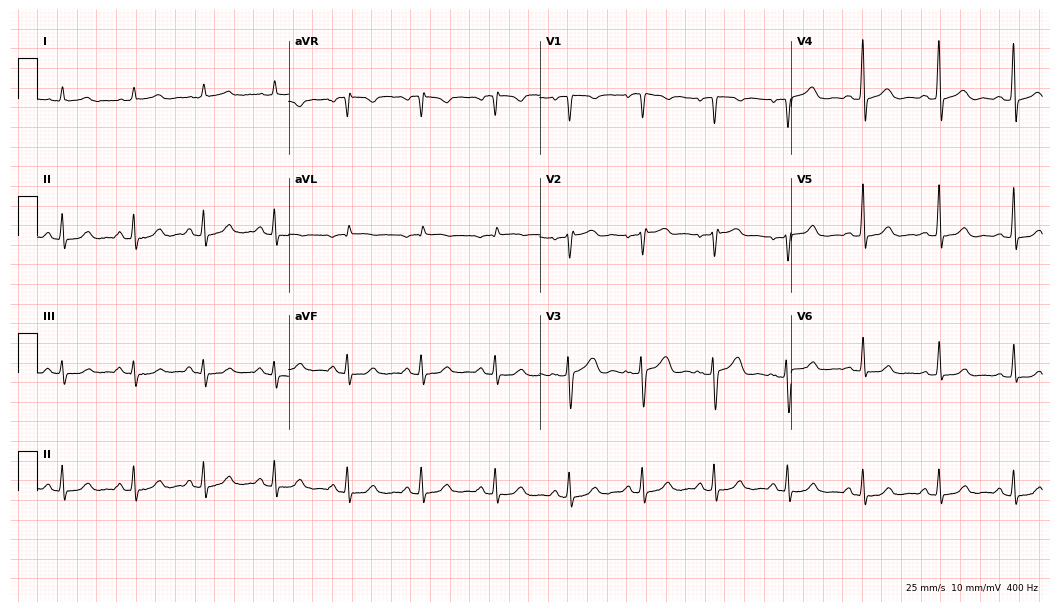
Resting 12-lead electrocardiogram (10.2-second recording at 400 Hz). Patient: a 61-year-old female. None of these six findings is recorded: first-degree AV block, right bundle branch block, left bundle branch block, sinus bradycardia, atrial fibrillation, sinus tachycardia. Findings outside these six are not listed.